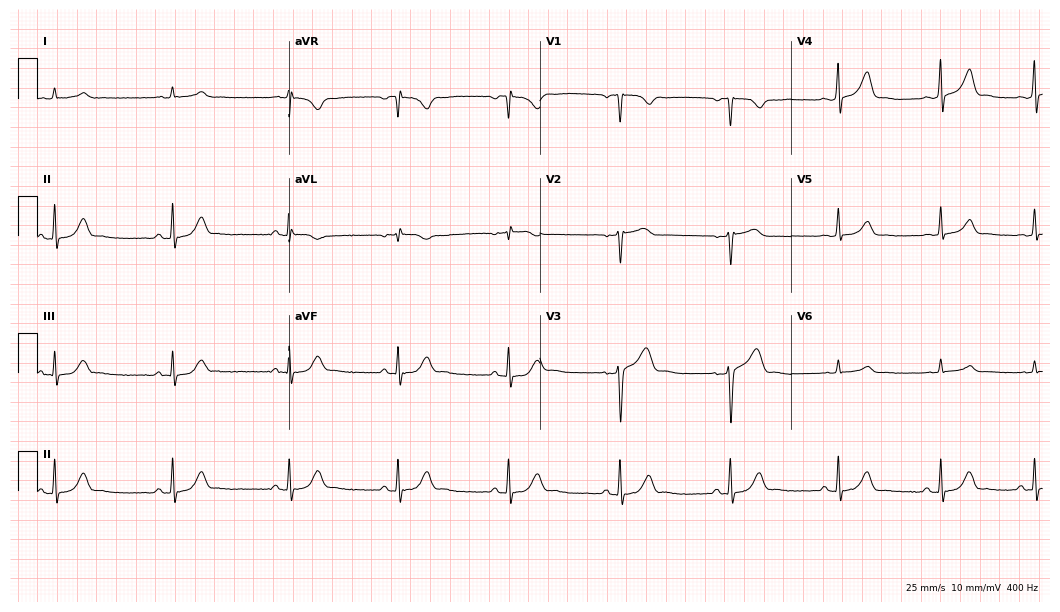
12-lead ECG from a male patient, 56 years old. No first-degree AV block, right bundle branch block, left bundle branch block, sinus bradycardia, atrial fibrillation or sinus tachycardia recorded for this tracing.